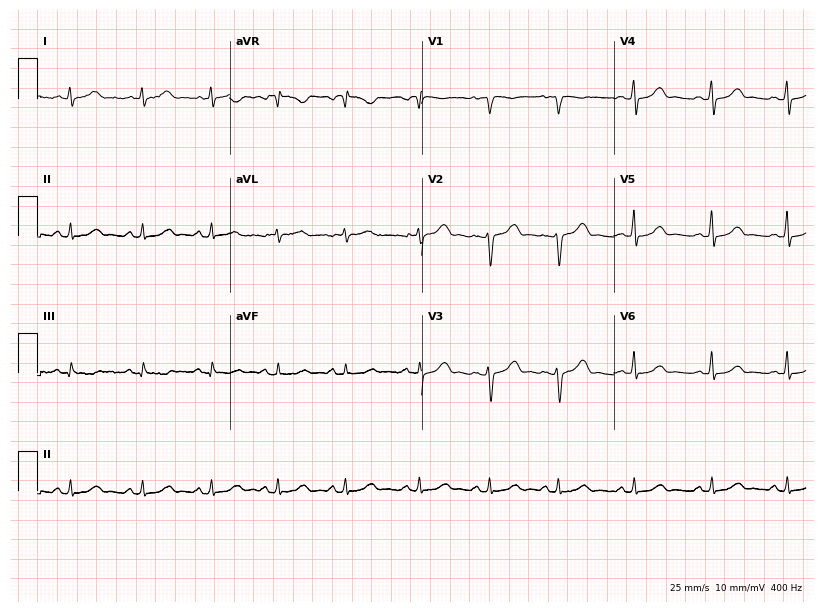
Electrocardiogram (7.8-second recording at 400 Hz), a 39-year-old female patient. Overall reading on record: normal ECG.